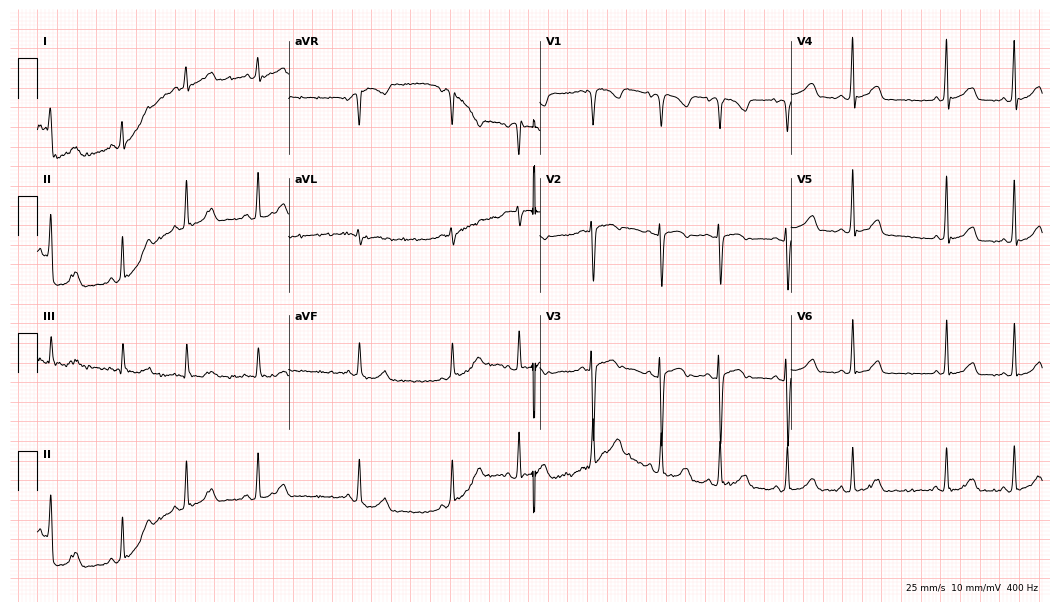
12-lead ECG (10.2-second recording at 400 Hz) from a female patient, 33 years old. Labelled as a normal ECG.